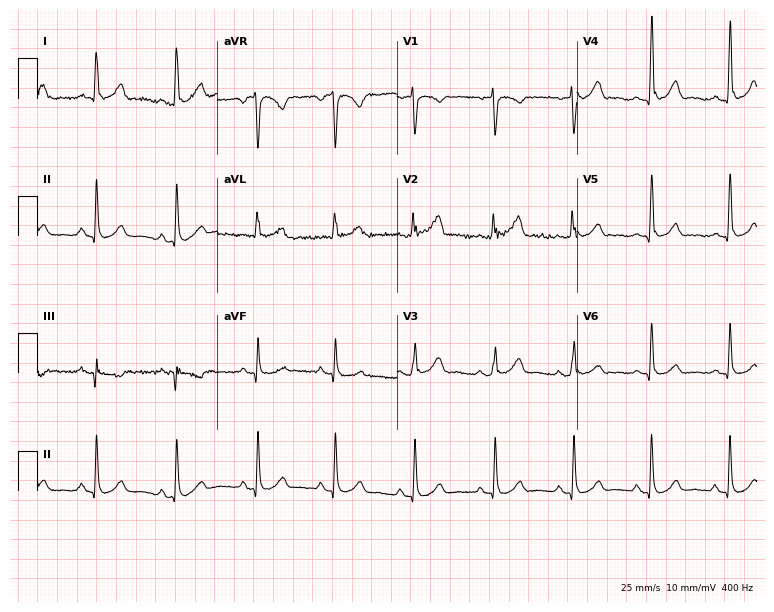
12-lead ECG from a woman, 26 years old. Labelled as a normal ECG.